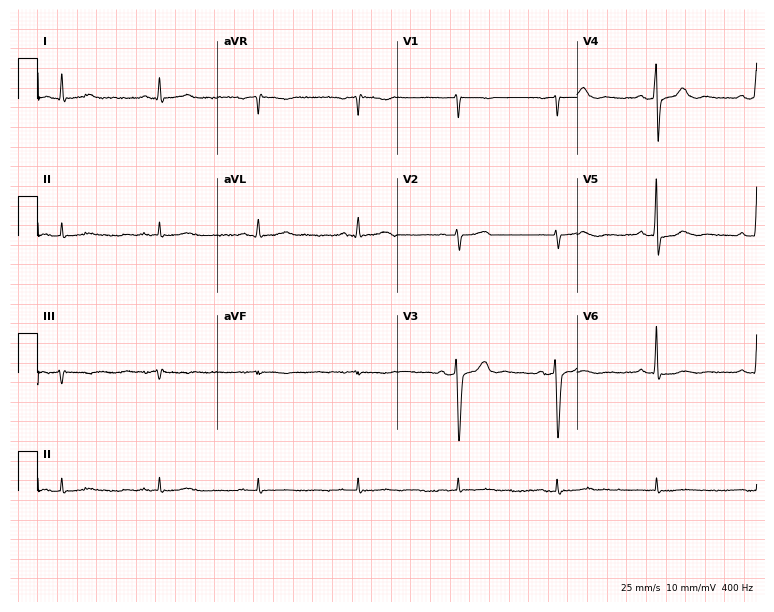
12-lead ECG (7.3-second recording at 400 Hz) from a male, 55 years old. Labelled as a normal ECG.